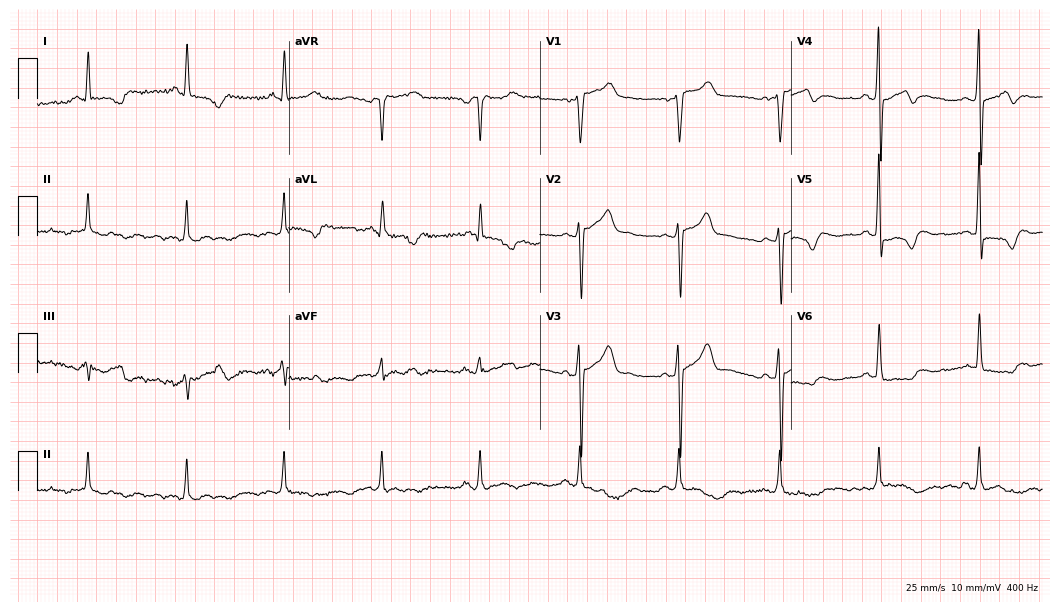
12-lead ECG from a 68-year-old male patient. Screened for six findings — first-degree AV block, right bundle branch block, left bundle branch block, sinus bradycardia, atrial fibrillation, sinus tachycardia — none is recorded. Other findings, if any, are not listed.